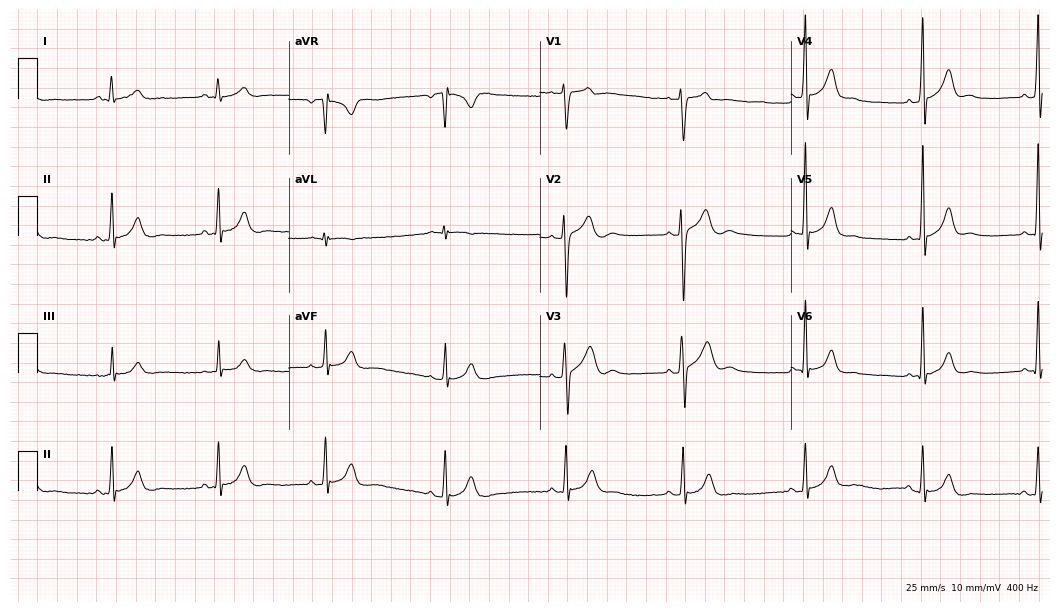
12-lead ECG from a 26-year-old male patient. No first-degree AV block, right bundle branch block, left bundle branch block, sinus bradycardia, atrial fibrillation or sinus tachycardia recorded for this tracing.